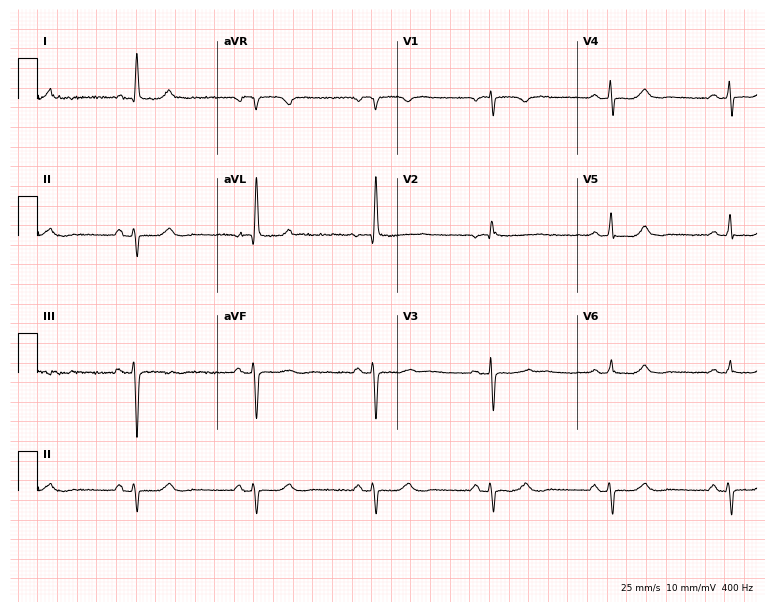
Resting 12-lead electrocardiogram (7.3-second recording at 400 Hz). Patient: a female, 79 years old. None of these six findings is recorded: first-degree AV block, right bundle branch block (RBBB), left bundle branch block (LBBB), sinus bradycardia, atrial fibrillation (AF), sinus tachycardia.